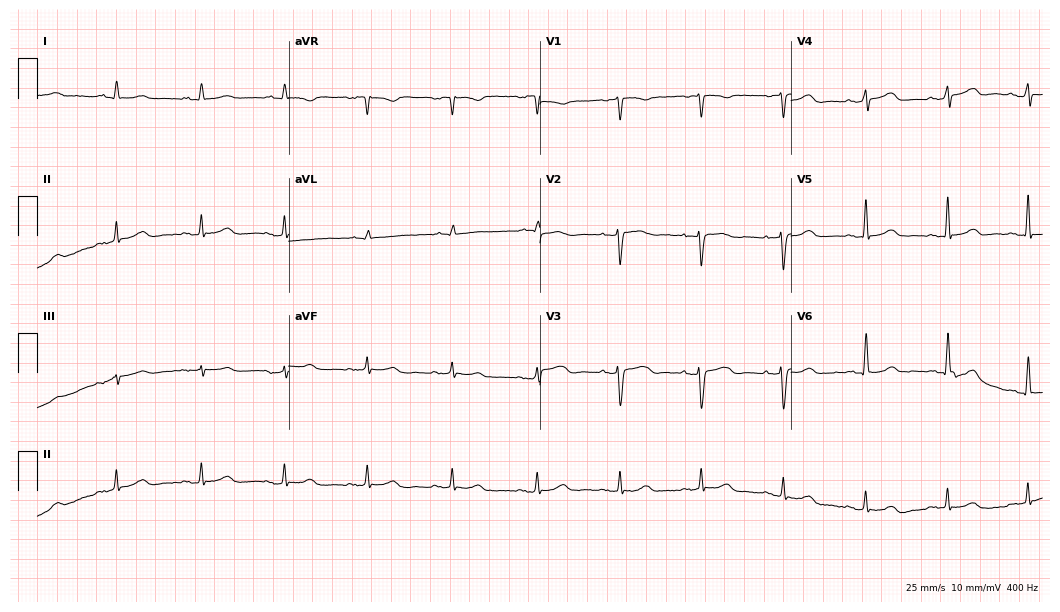
Electrocardiogram (10.2-second recording at 400 Hz), a female patient, 59 years old. Of the six screened findings (first-degree AV block, right bundle branch block, left bundle branch block, sinus bradycardia, atrial fibrillation, sinus tachycardia), none is recorded.